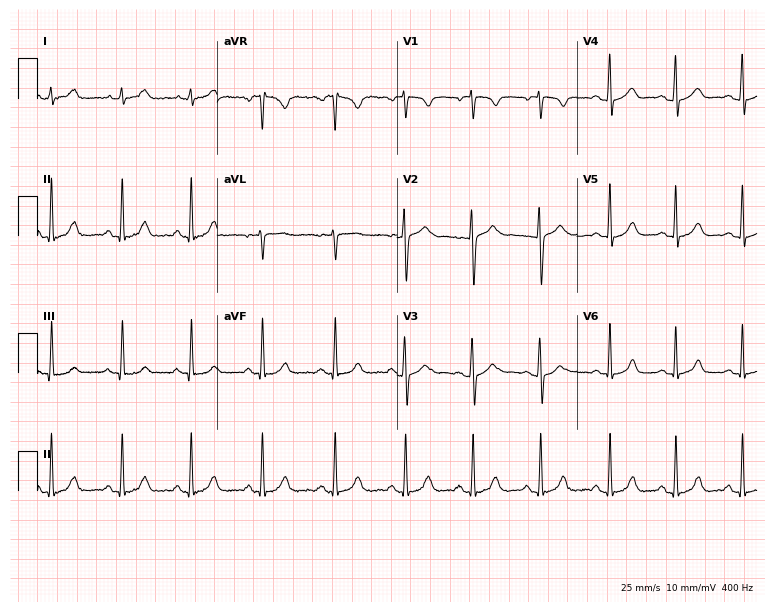
Resting 12-lead electrocardiogram. Patient: a female, 27 years old. None of these six findings is recorded: first-degree AV block, right bundle branch block, left bundle branch block, sinus bradycardia, atrial fibrillation, sinus tachycardia. Only these six findings were labelled.